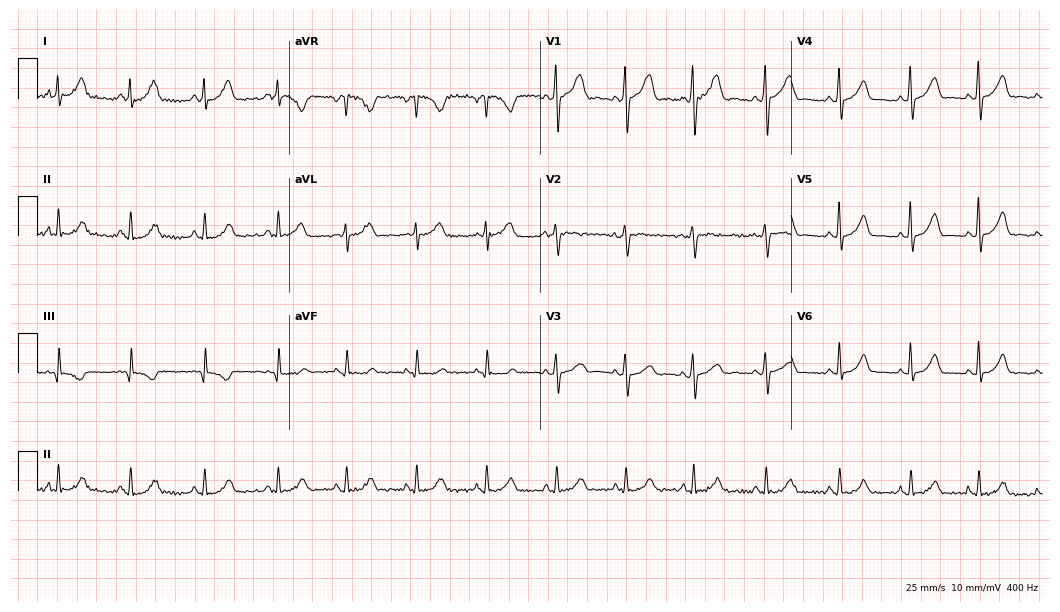
Standard 12-lead ECG recorded from a female patient, 33 years old. Read as a normal ECG.